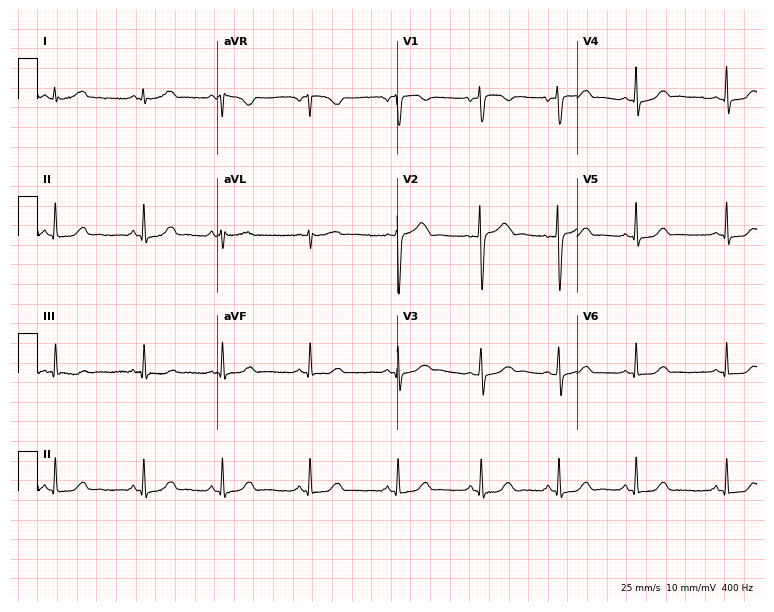
Electrocardiogram, a woman, 29 years old. Overall reading on record: normal ECG.